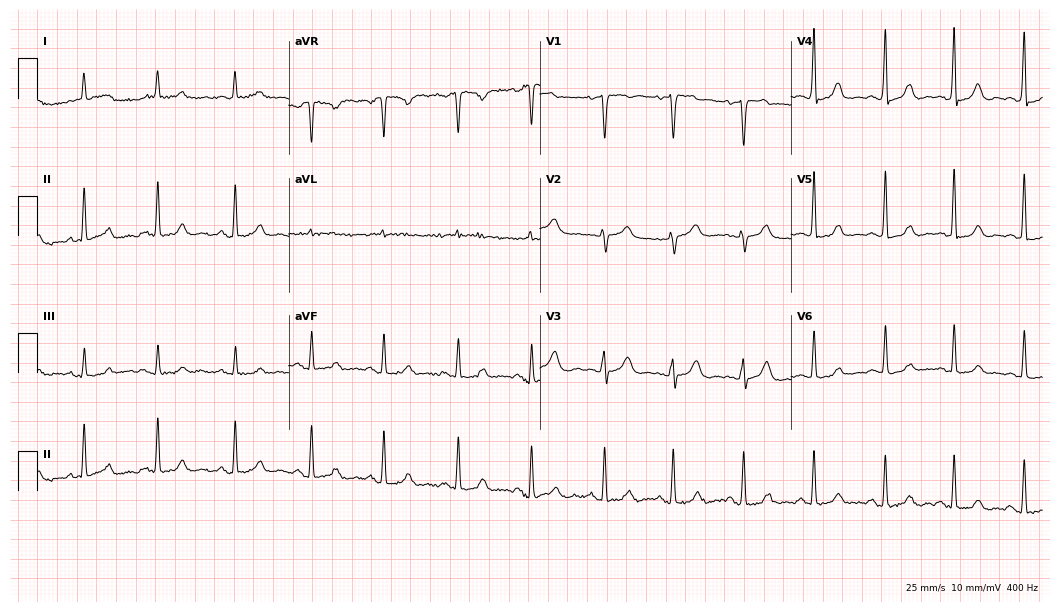
12-lead ECG from a 63-year-old female. Recorded interpretation: within normal limits.